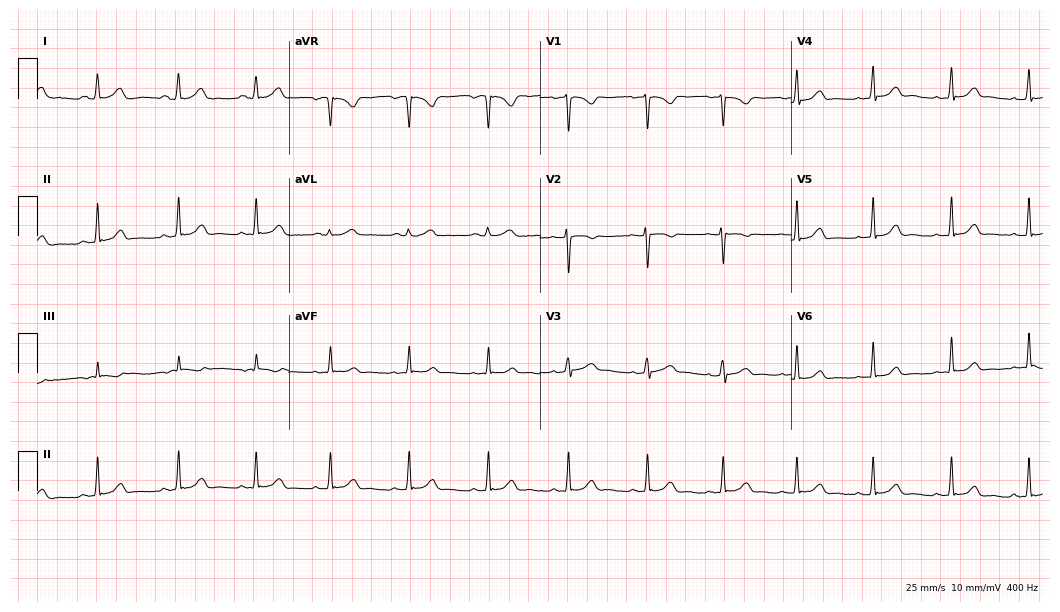
Electrocardiogram (10.2-second recording at 400 Hz), a 24-year-old woman. Overall reading on record: normal ECG.